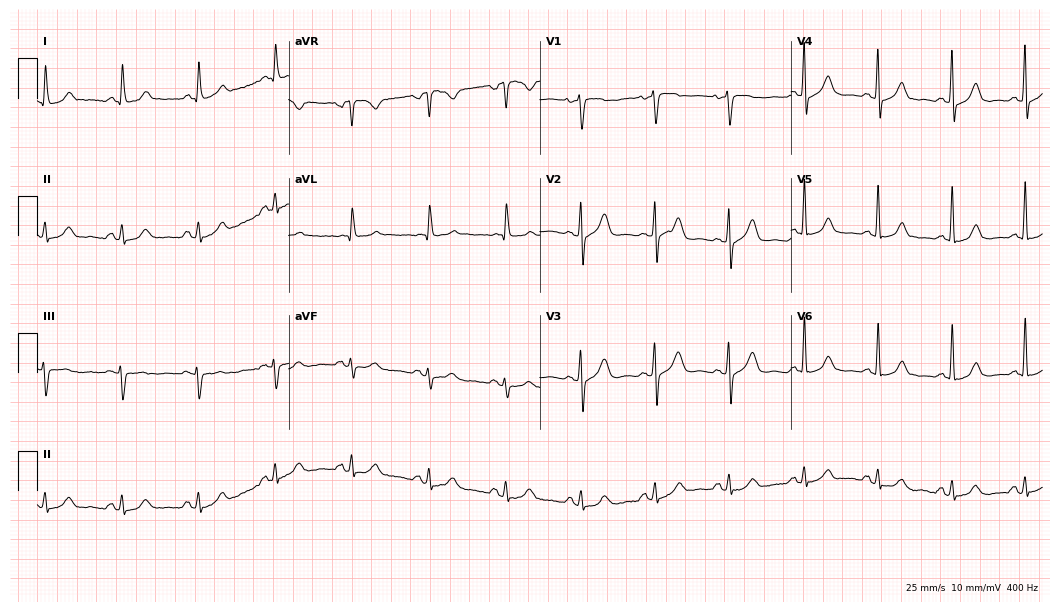
Standard 12-lead ECG recorded from a 78-year-old female patient (10.2-second recording at 400 Hz). Read as a normal ECG.